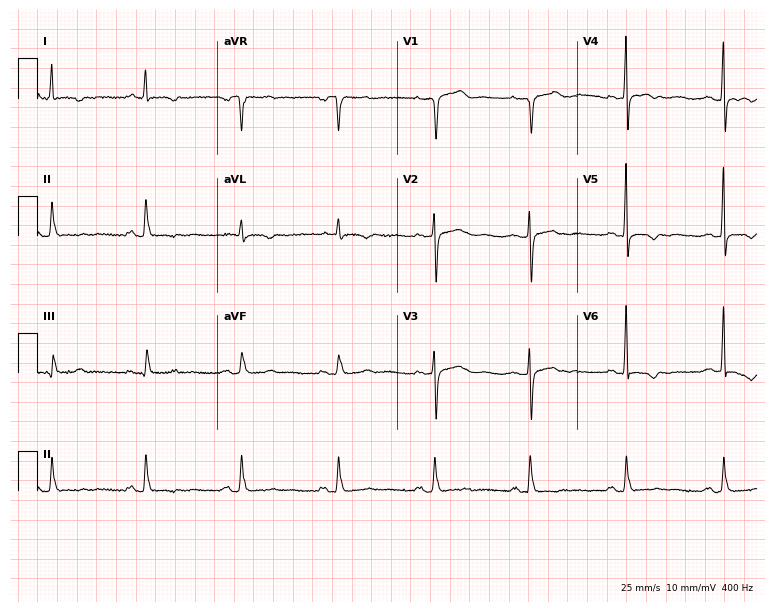
12-lead ECG (7.3-second recording at 400 Hz) from a 75-year-old female patient. Screened for six findings — first-degree AV block, right bundle branch block, left bundle branch block, sinus bradycardia, atrial fibrillation, sinus tachycardia — none is recorded.